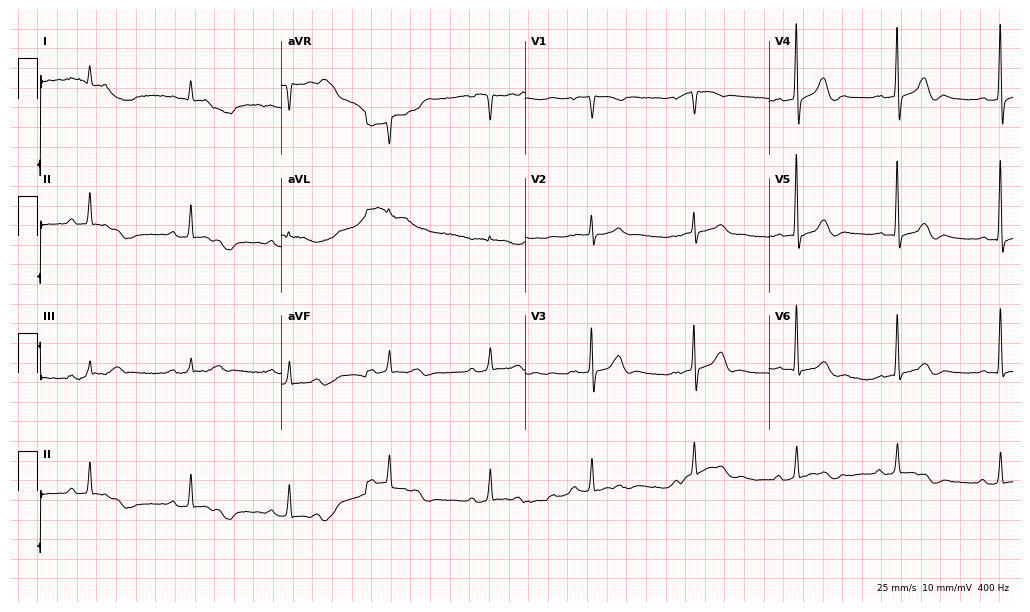
ECG — a 67-year-old male patient. Screened for six findings — first-degree AV block, right bundle branch block, left bundle branch block, sinus bradycardia, atrial fibrillation, sinus tachycardia — none is recorded.